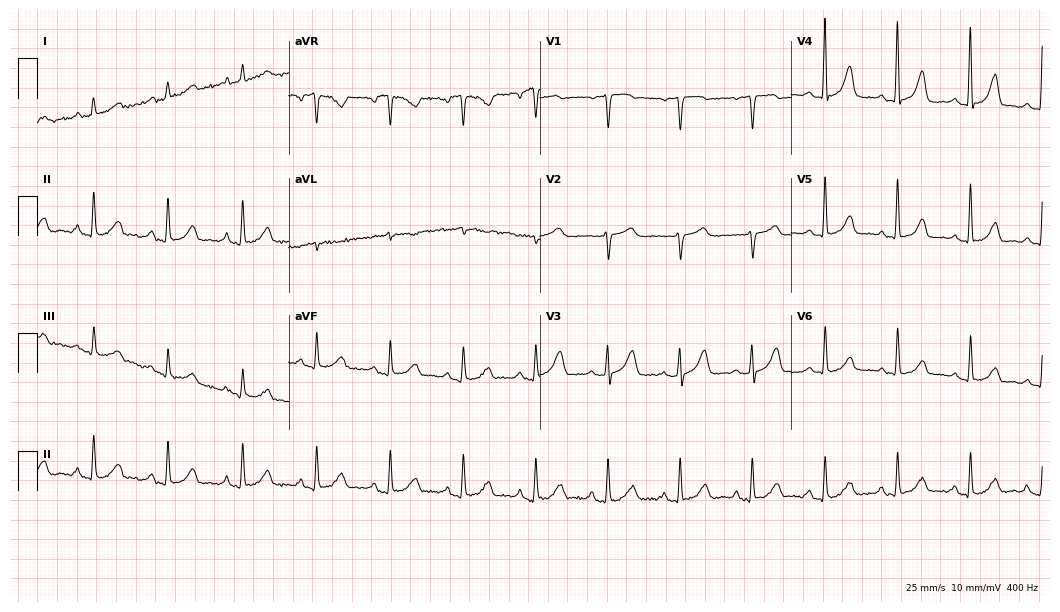
Electrocardiogram (10.2-second recording at 400 Hz), a woman, 76 years old. Overall reading on record: normal ECG.